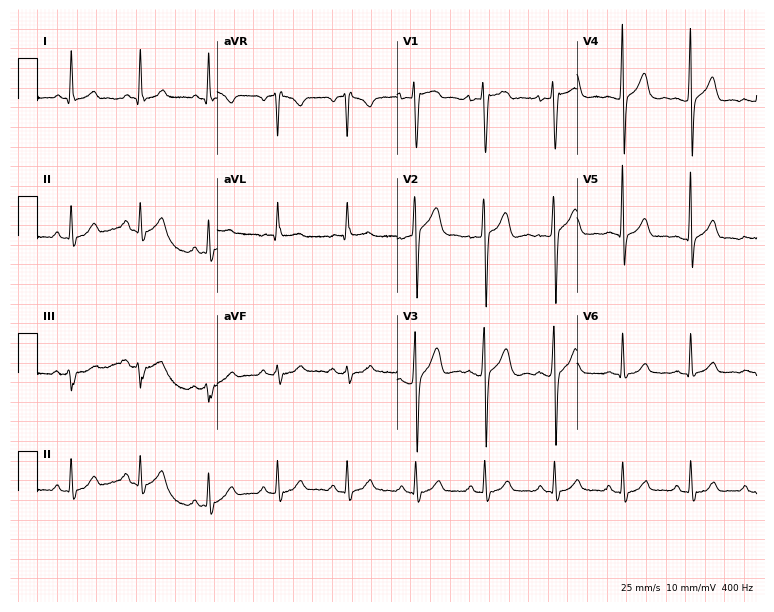
12-lead ECG from a 25-year-old male (7.3-second recording at 400 Hz). Recorded interpretation: within normal limits.